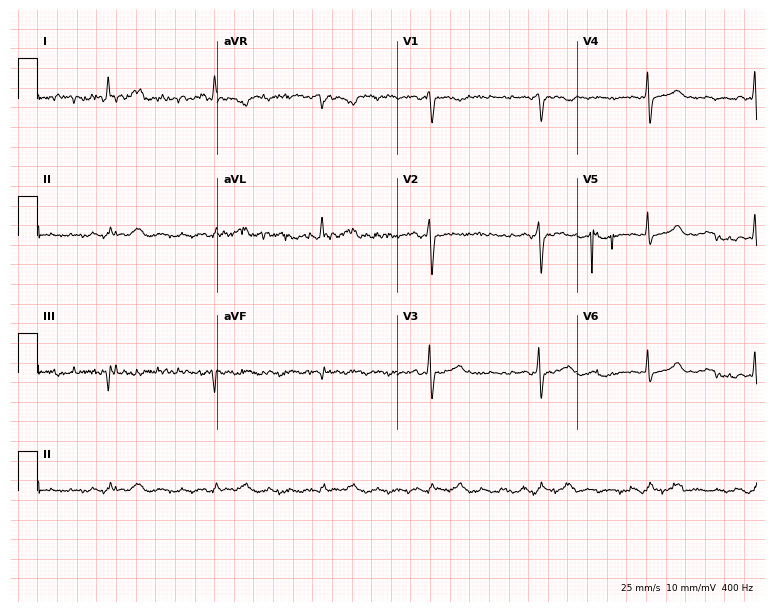
12-lead ECG (7.3-second recording at 400 Hz) from a 75-year-old woman. Screened for six findings — first-degree AV block, right bundle branch block, left bundle branch block, sinus bradycardia, atrial fibrillation, sinus tachycardia — none is recorded.